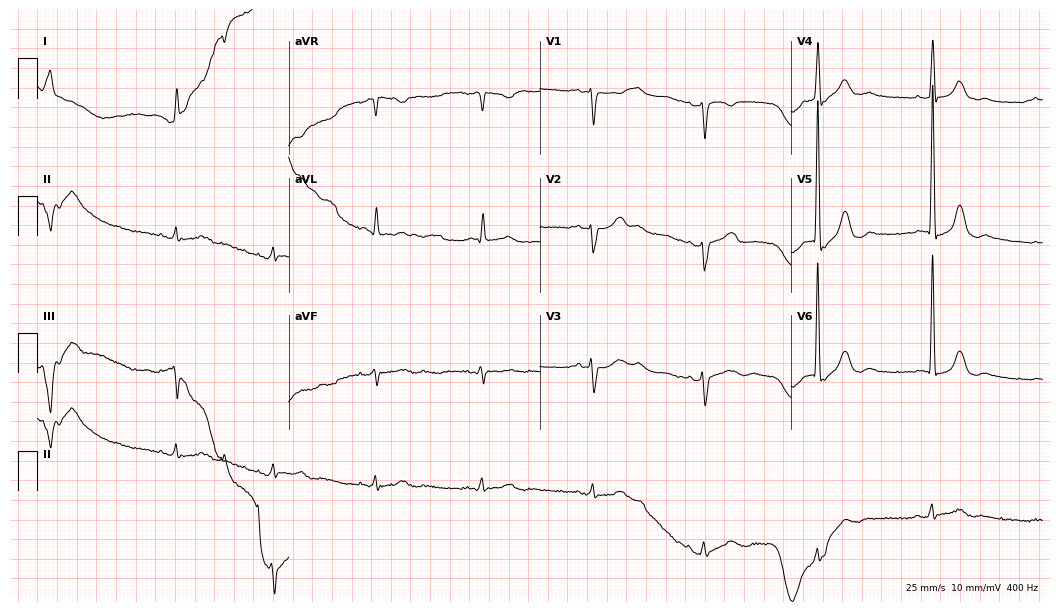
ECG (10.2-second recording at 400 Hz) — an 82-year-old man. Screened for six findings — first-degree AV block, right bundle branch block (RBBB), left bundle branch block (LBBB), sinus bradycardia, atrial fibrillation (AF), sinus tachycardia — none is recorded. Findings outside these six are not listed.